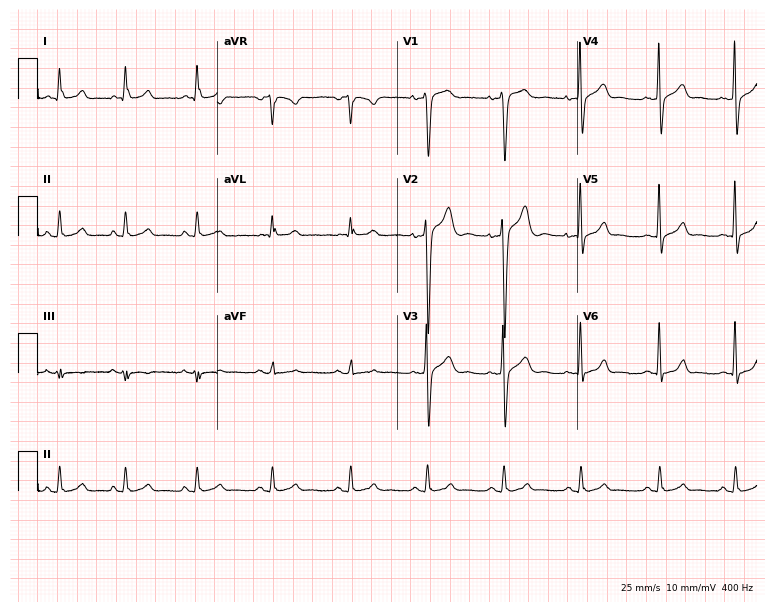
12-lead ECG from a 36-year-old man. Labelled as a normal ECG.